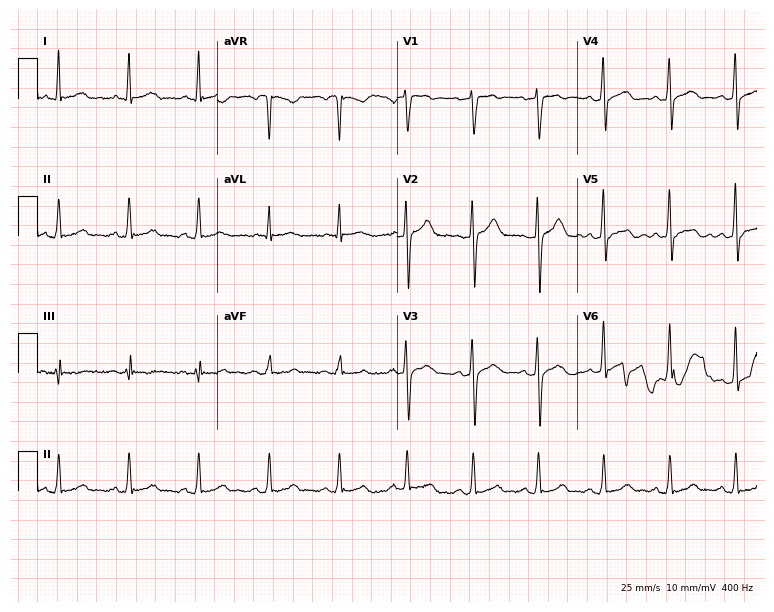
Resting 12-lead electrocardiogram (7.3-second recording at 400 Hz). Patient: a male, 45 years old. Read as a normal ECG.